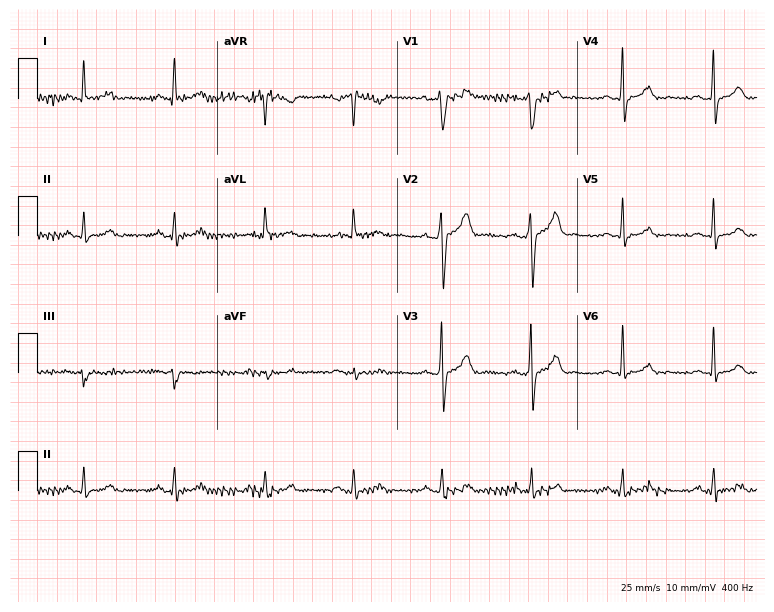
12-lead ECG from a male, 54 years old (7.3-second recording at 400 Hz). No first-degree AV block, right bundle branch block (RBBB), left bundle branch block (LBBB), sinus bradycardia, atrial fibrillation (AF) or sinus tachycardia recorded for this tracing. Only these six findings were labelled.